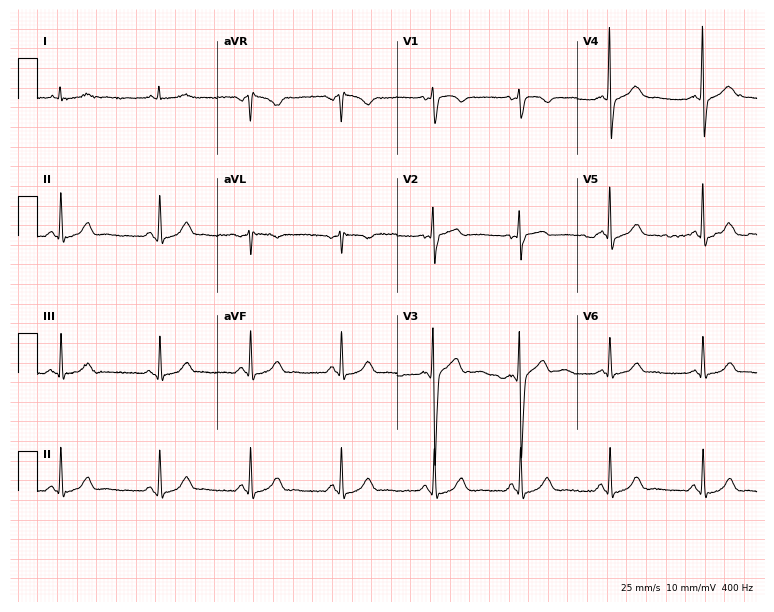
Electrocardiogram (7.3-second recording at 400 Hz), a woman, 25 years old. Of the six screened findings (first-degree AV block, right bundle branch block, left bundle branch block, sinus bradycardia, atrial fibrillation, sinus tachycardia), none is recorded. Only these six findings were labelled.